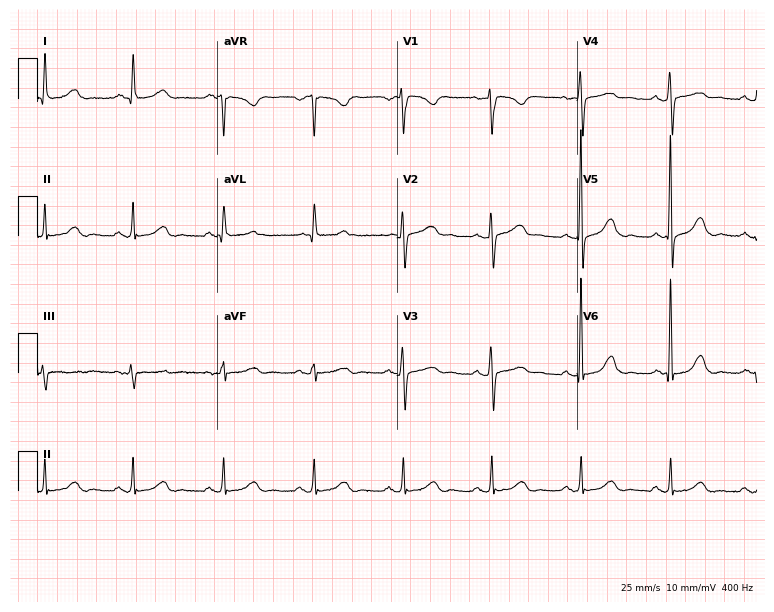
12-lead ECG from a woman, 50 years old (7.3-second recording at 400 Hz). Recorded interpretation: within normal limits.